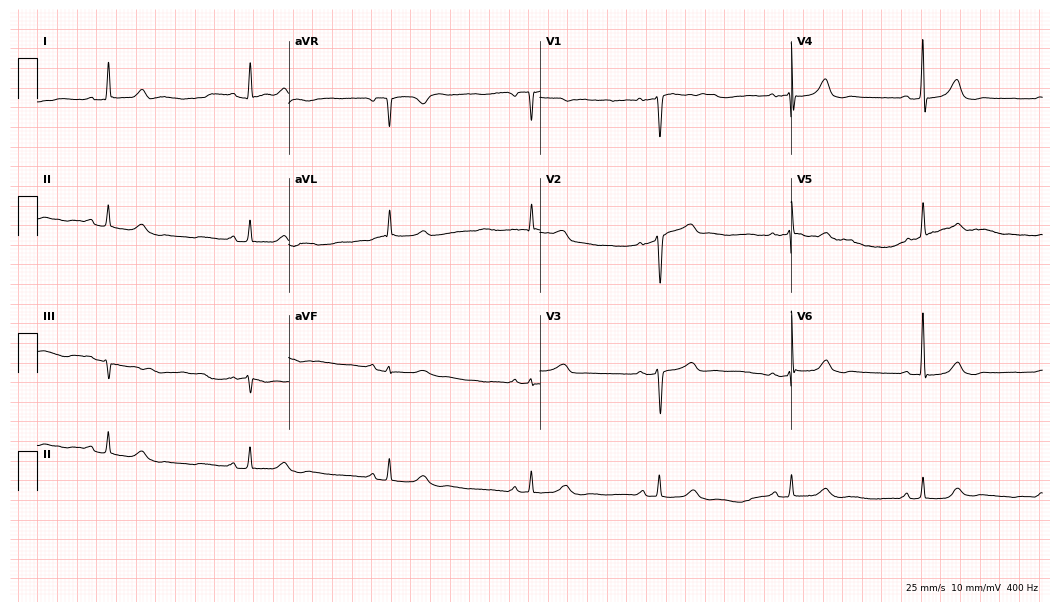
12-lead ECG (10.2-second recording at 400 Hz) from a 78-year-old female patient. Findings include sinus bradycardia (a sinus rate of 50 beats per minute or less).